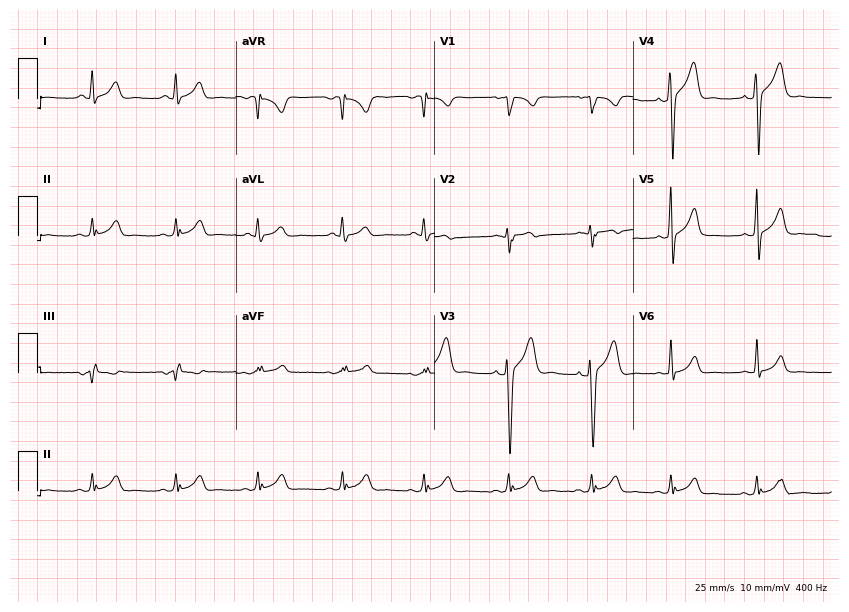
ECG (8.1-second recording at 400 Hz) — a man, 19 years old. Screened for six findings — first-degree AV block, right bundle branch block, left bundle branch block, sinus bradycardia, atrial fibrillation, sinus tachycardia — none is recorded.